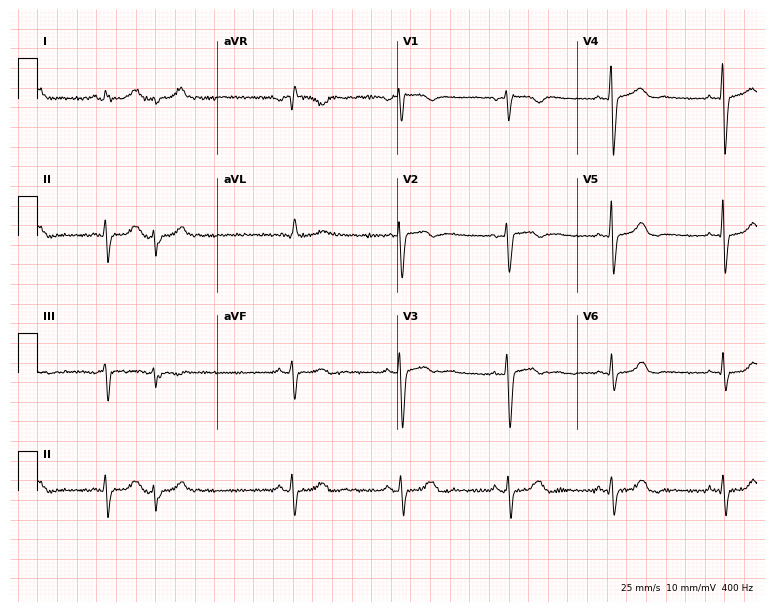
Electrocardiogram (7.3-second recording at 400 Hz), a female, 37 years old. Of the six screened findings (first-degree AV block, right bundle branch block (RBBB), left bundle branch block (LBBB), sinus bradycardia, atrial fibrillation (AF), sinus tachycardia), none is recorded.